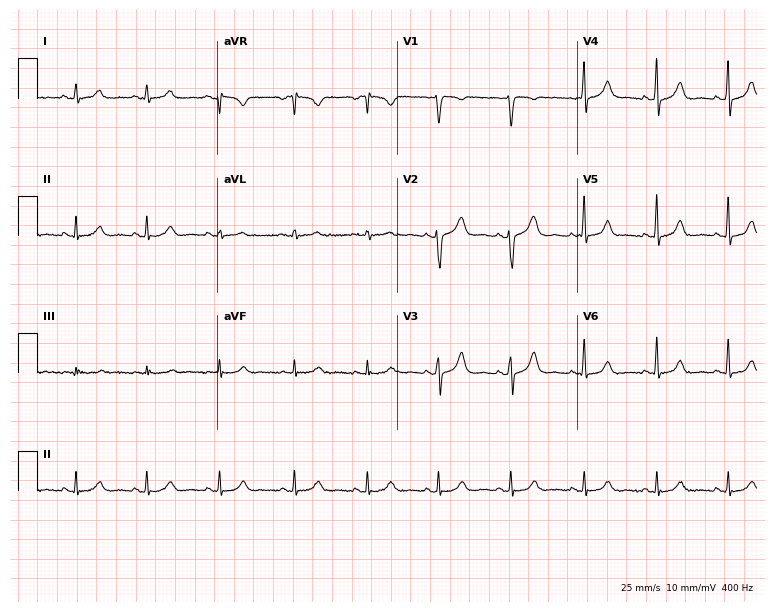
Resting 12-lead electrocardiogram (7.3-second recording at 400 Hz). Patient: a female, 34 years old. None of these six findings is recorded: first-degree AV block, right bundle branch block, left bundle branch block, sinus bradycardia, atrial fibrillation, sinus tachycardia.